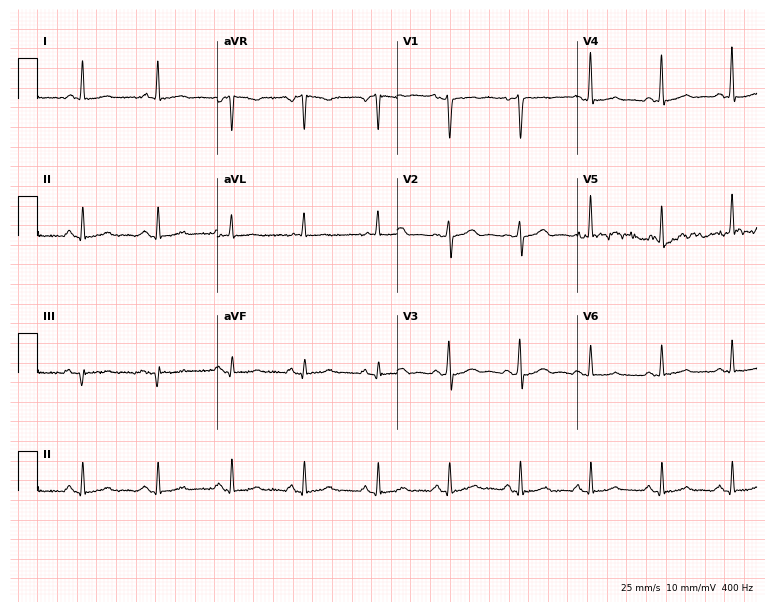
Standard 12-lead ECG recorded from a 54-year-old female. Read as a normal ECG.